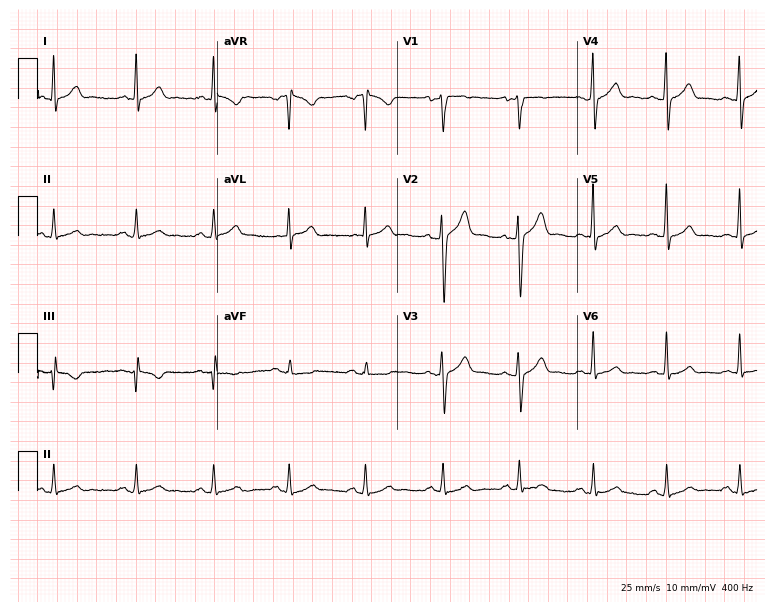
12-lead ECG from a 46-year-old man. Labelled as a normal ECG.